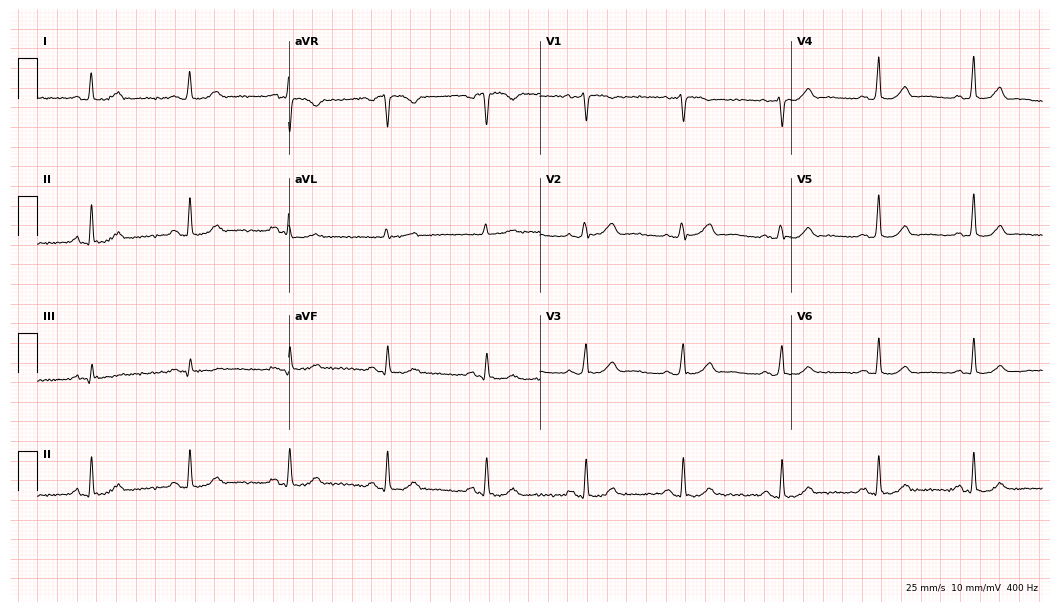
Resting 12-lead electrocardiogram (10.2-second recording at 400 Hz). Patient: a female, 51 years old. Read as a normal ECG.